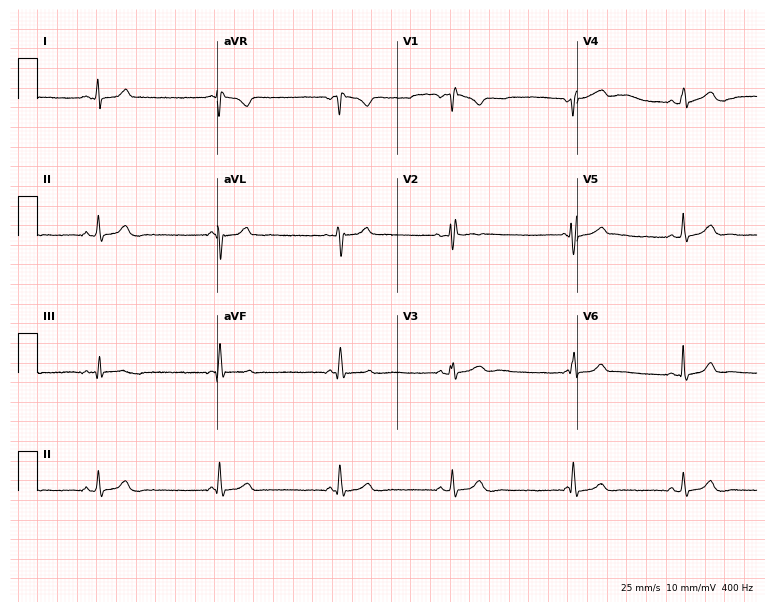
Standard 12-lead ECG recorded from a 22-year-old female. None of these six findings is recorded: first-degree AV block, right bundle branch block (RBBB), left bundle branch block (LBBB), sinus bradycardia, atrial fibrillation (AF), sinus tachycardia.